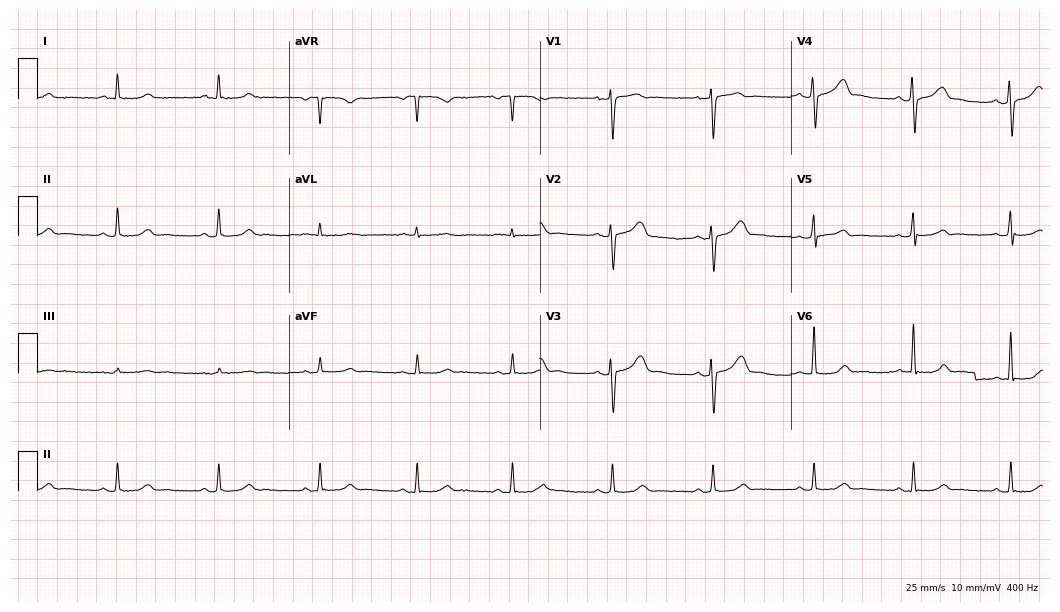
12-lead ECG from a 59-year-old male (10.2-second recording at 400 Hz). No first-degree AV block, right bundle branch block, left bundle branch block, sinus bradycardia, atrial fibrillation or sinus tachycardia recorded for this tracing. Only these six findings were labelled.